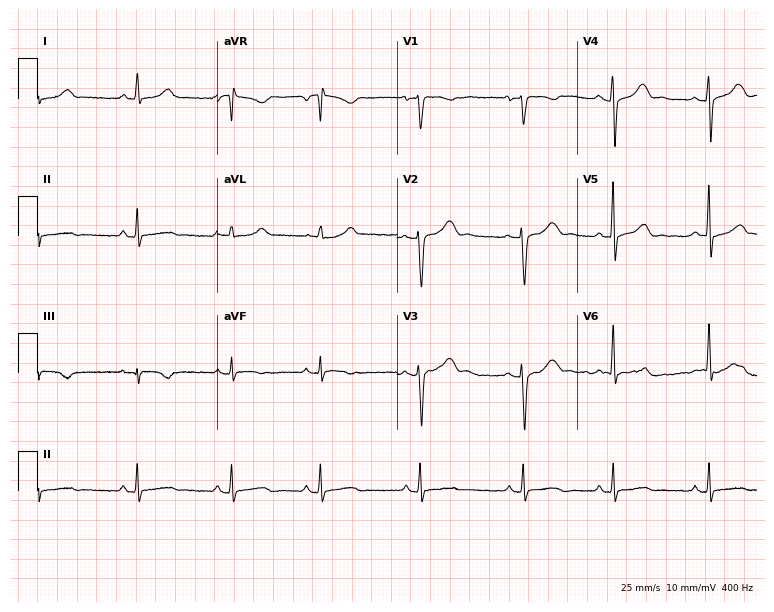
Resting 12-lead electrocardiogram (7.3-second recording at 400 Hz). Patient: a 50-year-old female. Read as a normal ECG.